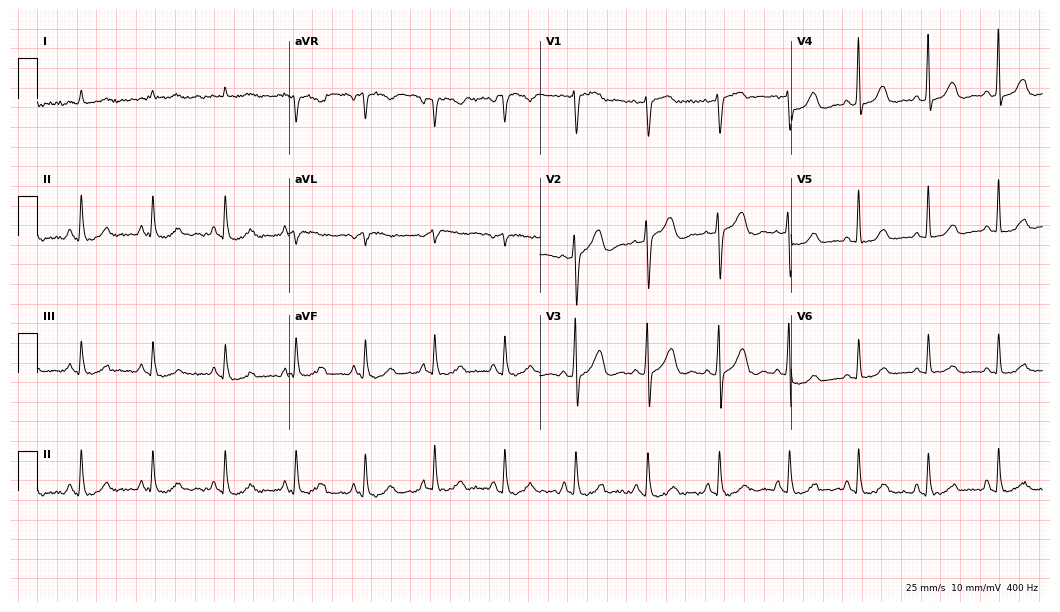
12-lead ECG (10.2-second recording at 400 Hz) from a 56-year-old man. Labelled as a normal ECG.